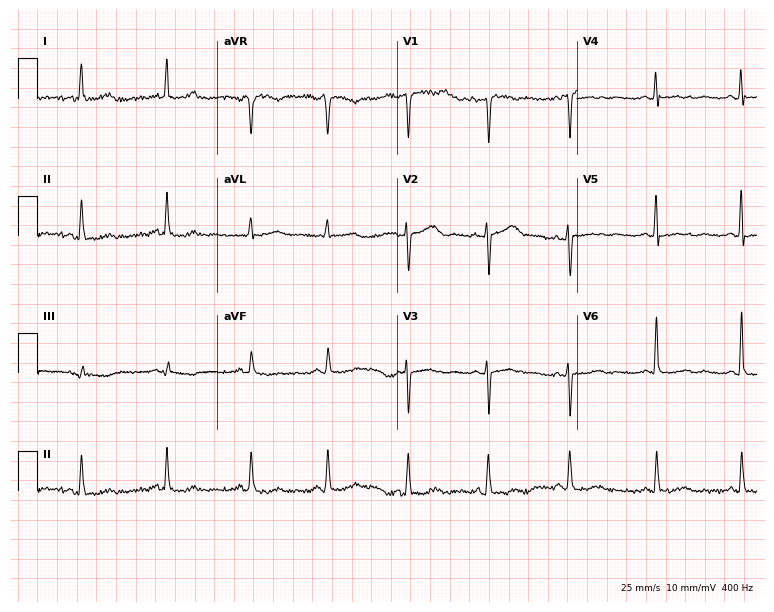
Electrocardiogram, a 70-year-old male patient. Of the six screened findings (first-degree AV block, right bundle branch block (RBBB), left bundle branch block (LBBB), sinus bradycardia, atrial fibrillation (AF), sinus tachycardia), none is recorded. Other findings, if any, are not listed.